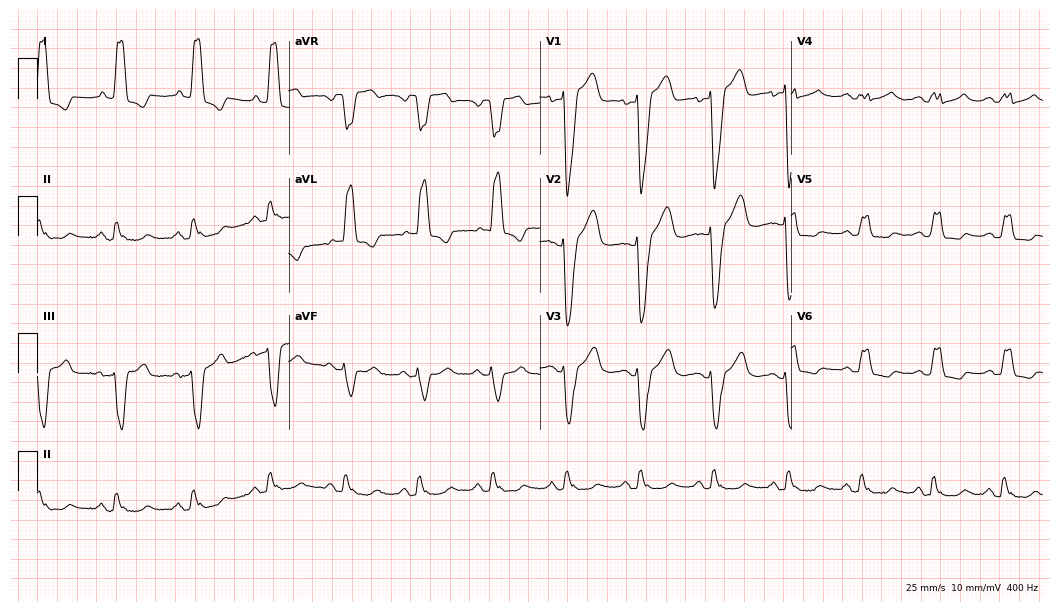
12-lead ECG from a female patient, 61 years old (10.2-second recording at 400 Hz). Shows left bundle branch block.